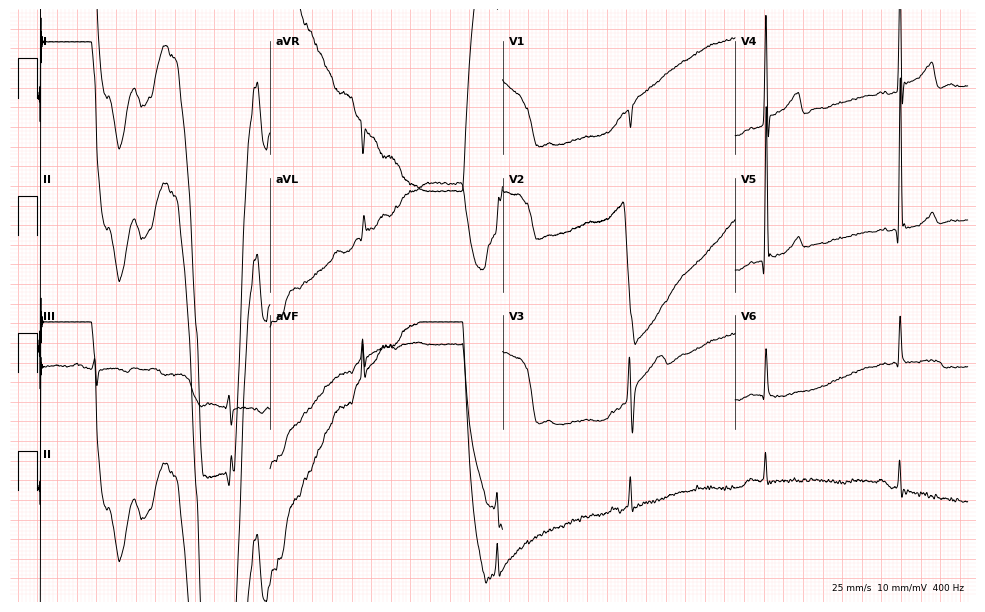
Electrocardiogram, a 74-year-old male patient. Of the six screened findings (first-degree AV block, right bundle branch block, left bundle branch block, sinus bradycardia, atrial fibrillation, sinus tachycardia), none is recorded.